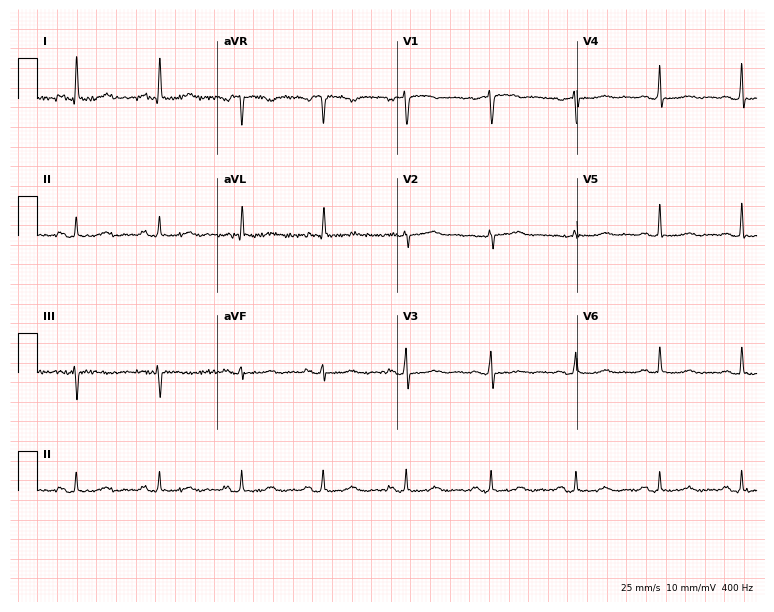
Resting 12-lead electrocardiogram. Patient: a 53-year-old female. Read as a normal ECG.